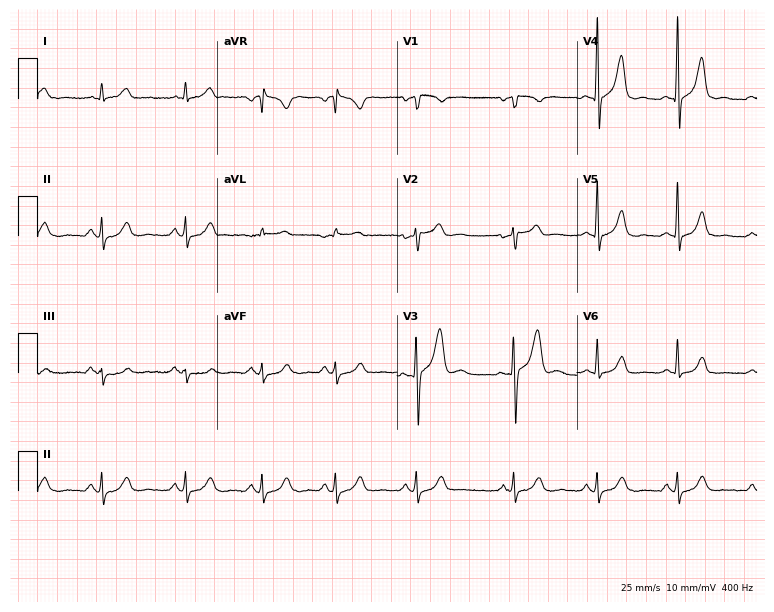
12-lead ECG from a 41-year-old male (7.3-second recording at 400 Hz). Recorded interpretation: within normal limits.